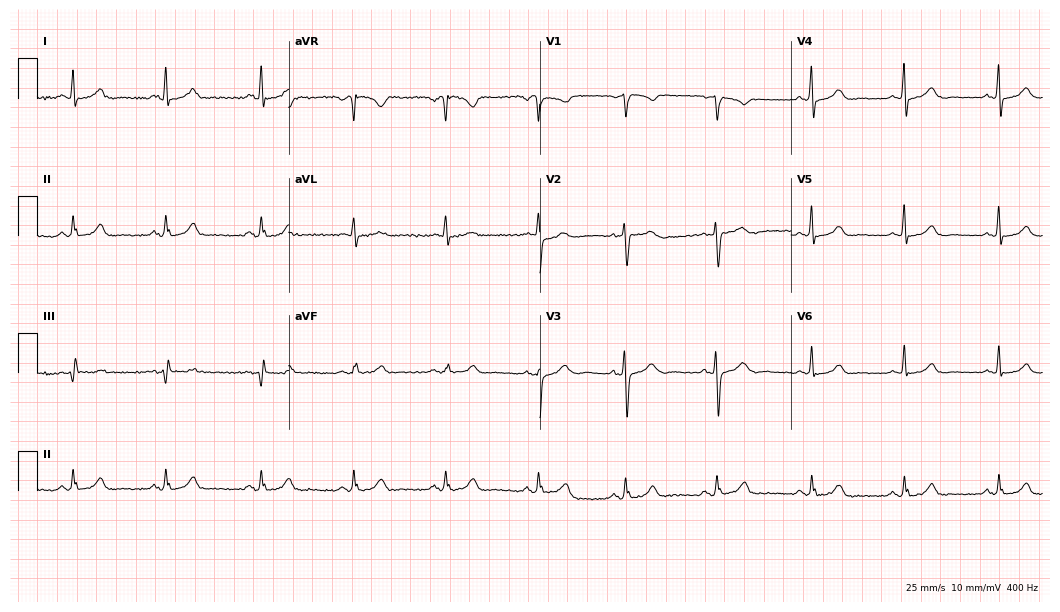
12-lead ECG (10.2-second recording at 400 Hz) from a woman, 52 years old. Labelled as a normal ECG.